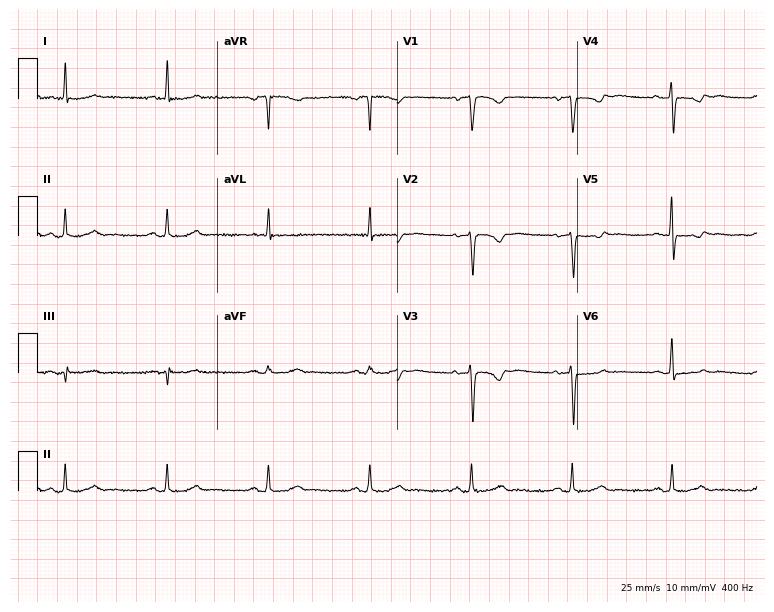
12-lead ECG from a 66-year-old female. Recorded interpretation: within normal limits.